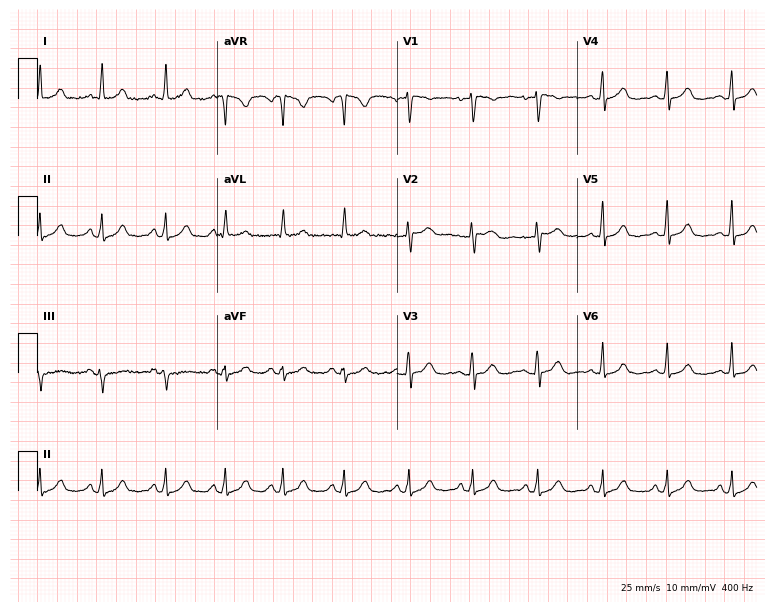
12-lead ECG (7.3-second recording at 400 Hz) from a 49-year-old female patient. Labelled as a normal ECG.